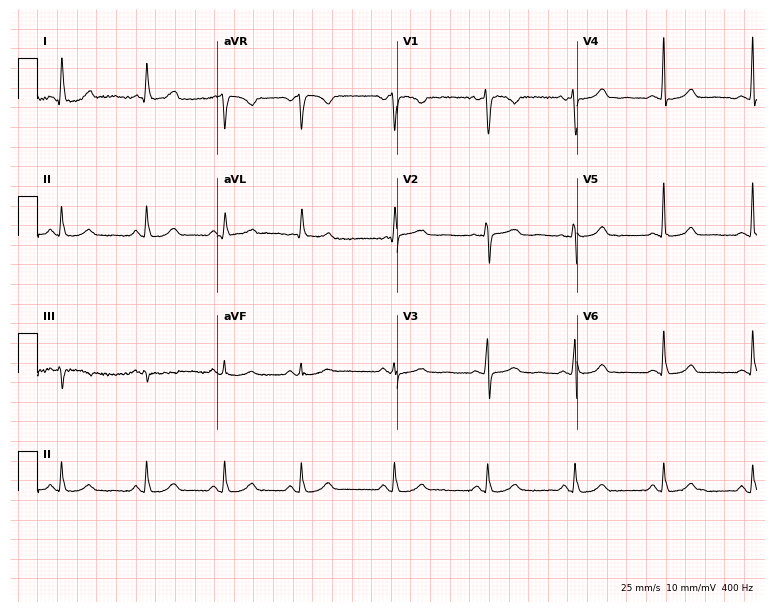
ECG (7.3-second recording at 400 Hz) — a 55-year-old female patient. Labelled as a normal ECG.